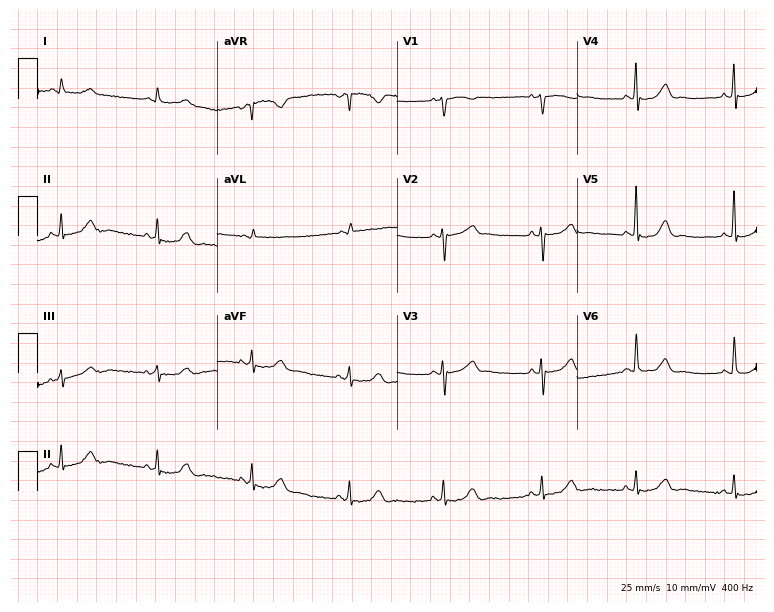
Resting 12-lead electrocardiogram (7.3-second recording at 400 Hz). Patient: a male, 72 years old. None of these six findings is recorded: first-degree AV block, right bundle branch block, left bundle branch block, sinus bradycardia, atrial fibrillation, sinus tachycardia.